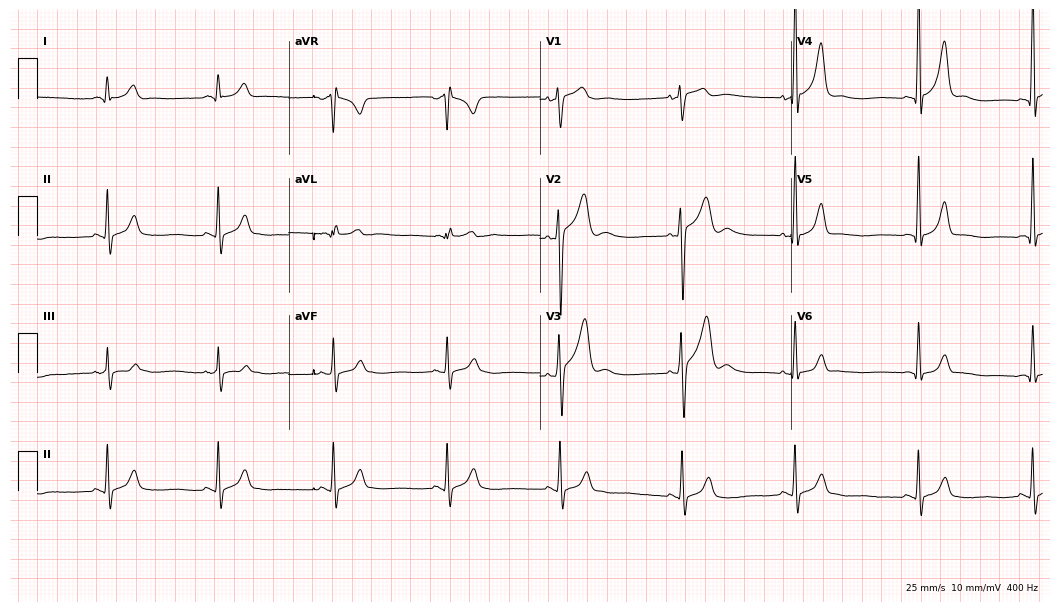
Standard 12-lead ECG recorded from a man, 18 years old. None of these six findings is recorded: first-degree AV block, right bundle branch block, left bundle branch block, sinus bradycardia, atrial fibrillation, sinus tachycardia.